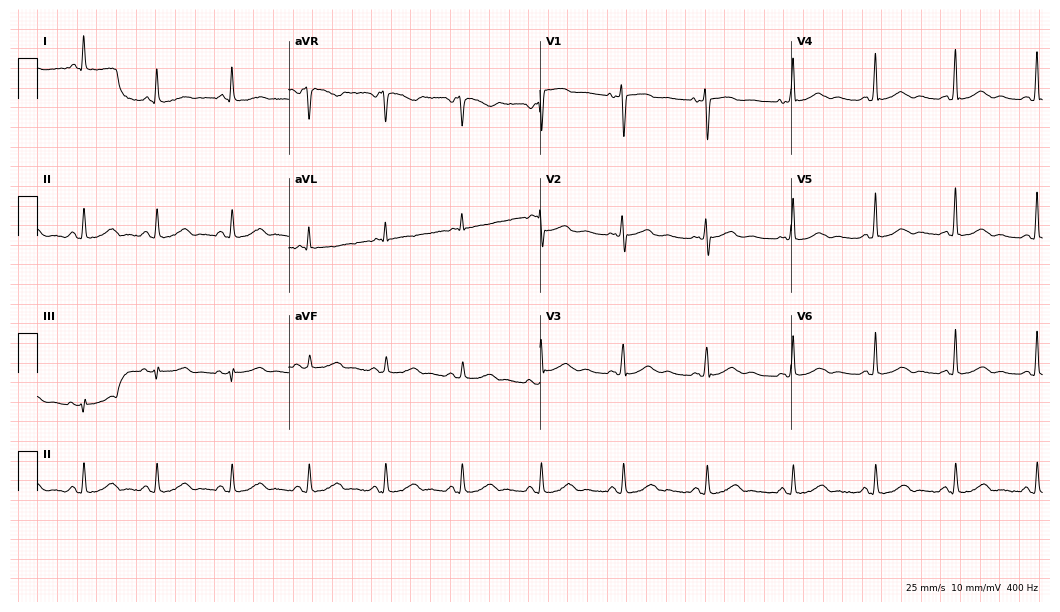
Electrocardiogram, a female patient, 56 years old. Overall reading on record: normal ECG.